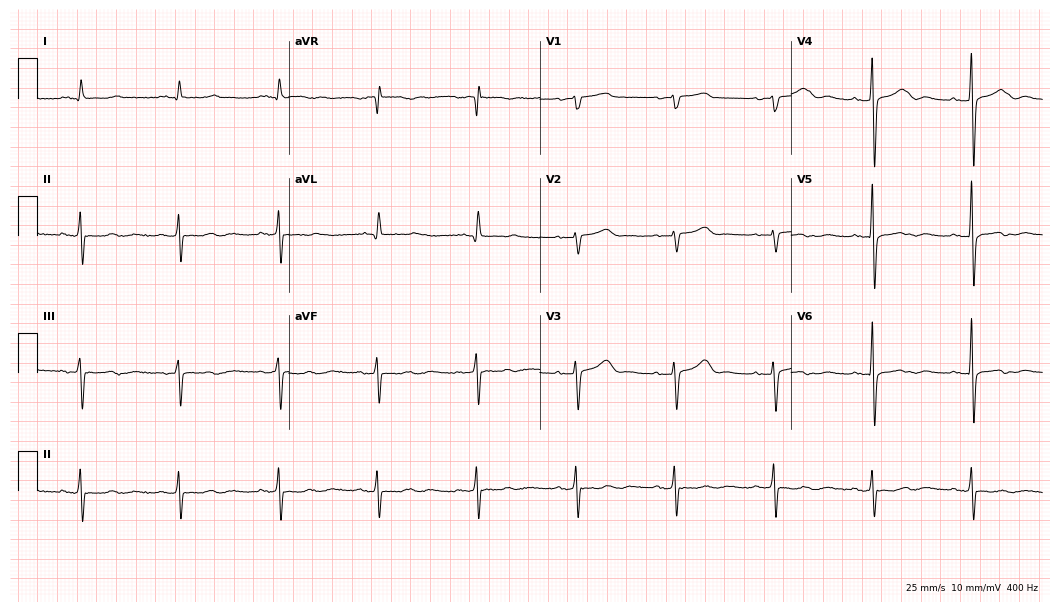
12-lead ECG (10.2-second recording at 400 Hz) from a 70-year-old female patient. Screened for six findings — first-degree AV block, right bundle branch block, left bundle branch block, sinus bradycardia, atrial fibrillation, sinus tachycardia — none is recorded. Findings outside these six are not listed.